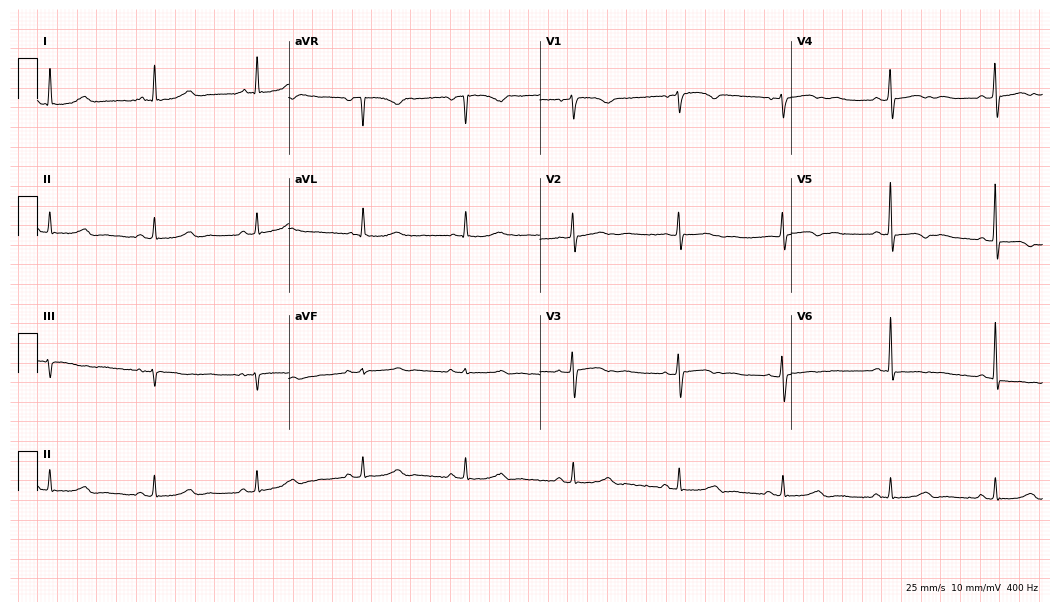
Standard 12-lead ECG recorded from a 57-year-old woman (10.2-second recording at 400 Hz). None of these six findings is recorded: first-degree AV block, right bundle branch block, left bundle branch block, sinus bradycardia, atrial fibrillation, sinus tachycardia.